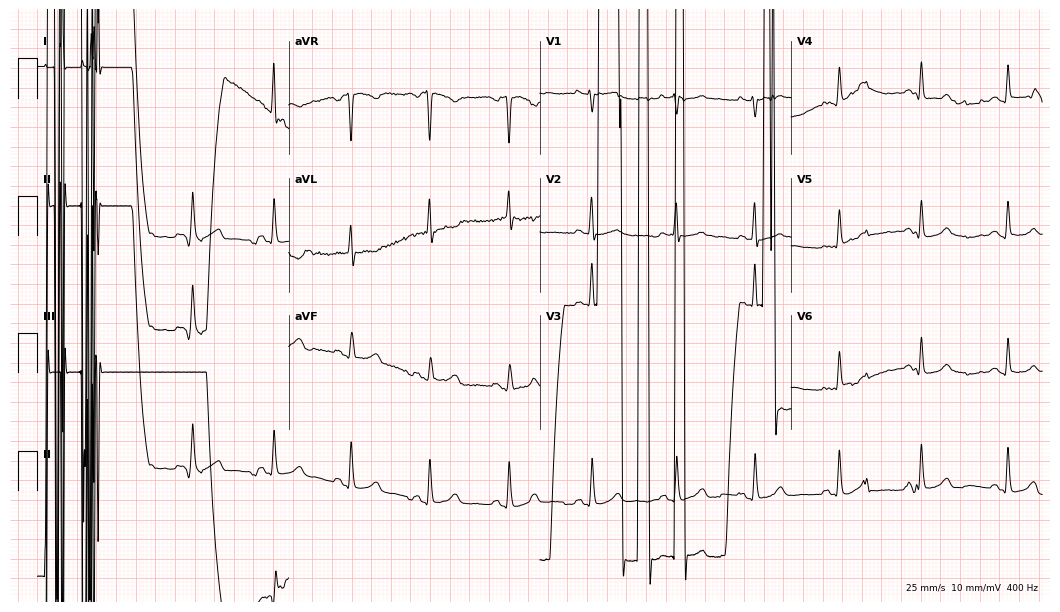
Standard 12-lead ECG recorded from a female, 29 years old (10.2-second recording at 400 Hz). None of these six findings is recorded: first-degree AV block, right bundle branch block, left bundle branch block, sinus bradycardia, atrial fibrillation, sinus tachycardia. Findings outside these six are not listed.